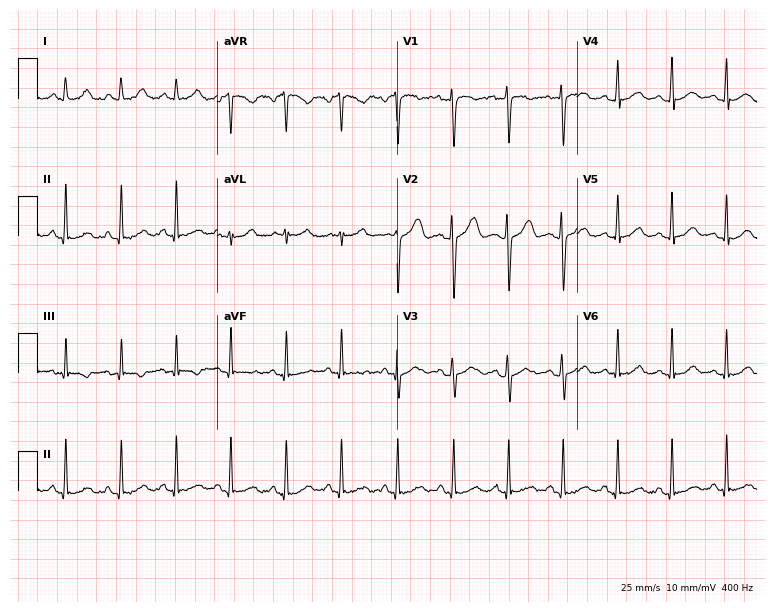
12-lead ECG from an 18-year-old woman (7.3-second recording at 400 Hz). No first-degree AV block, right bundle branch block (RBBB), left bundle branch block (LBBB), sinus bradycardia, atrial fibrillation (AF) or sinus tachycardia recorded for this tracing. Findings outside these six are not listed.